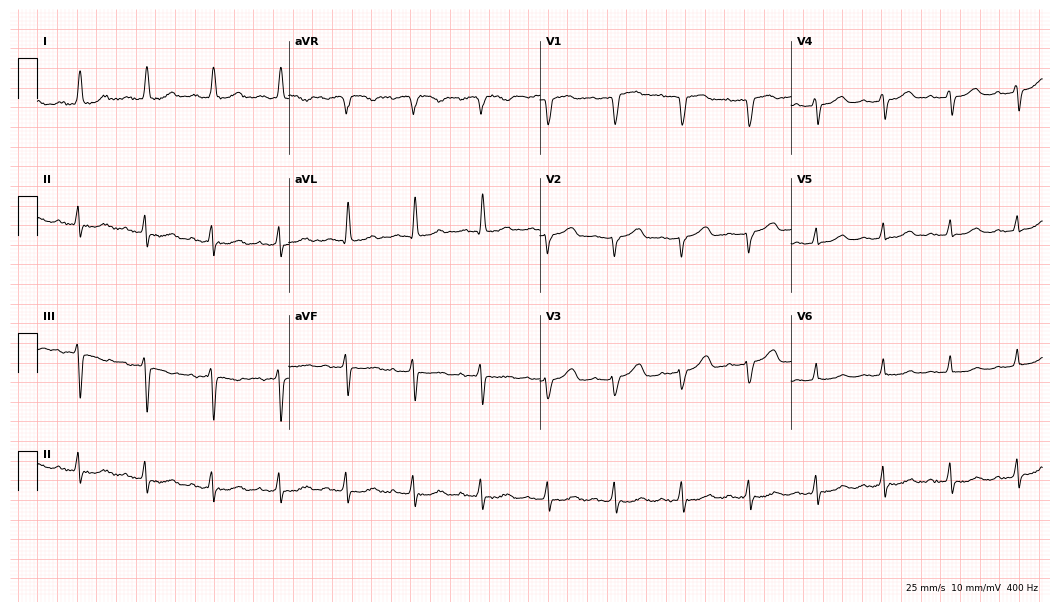
Resting 12-lead electrocardiogram. Patient: a female, 72 years old. Read as a normal ECG.